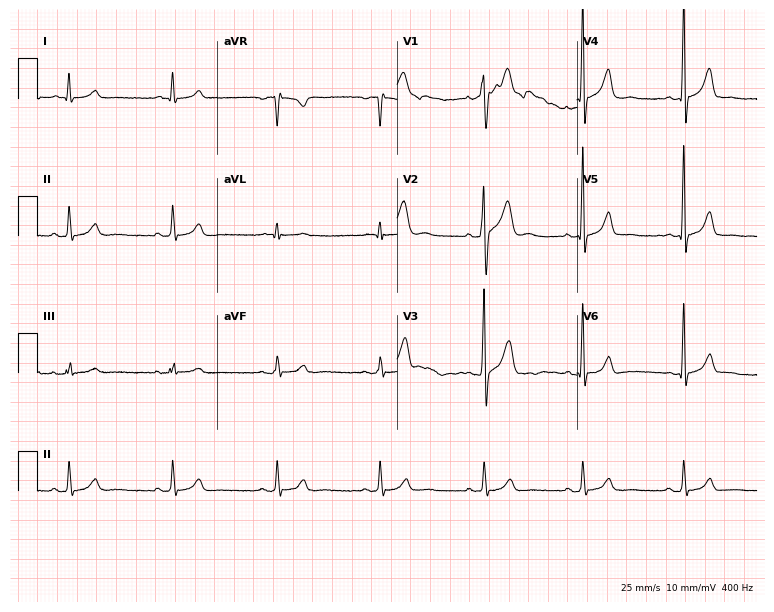
Resting 12-lead electrocardiogram (7.3-second recording at 400 Hz). Patient: a 53-year-old man. Read as a normal ECG.